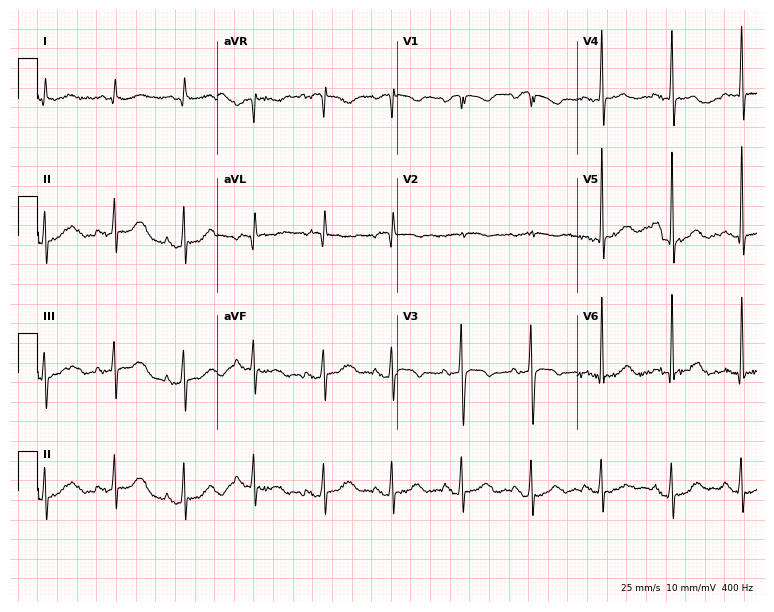
12-lead ECG from an 80-year-old male. Screened for six findings — first-degree AV block, right bundle branch block, left bundle branch block, sinus bradycardia, atrial fibrillation, sinus tachycardia — none is recorded.